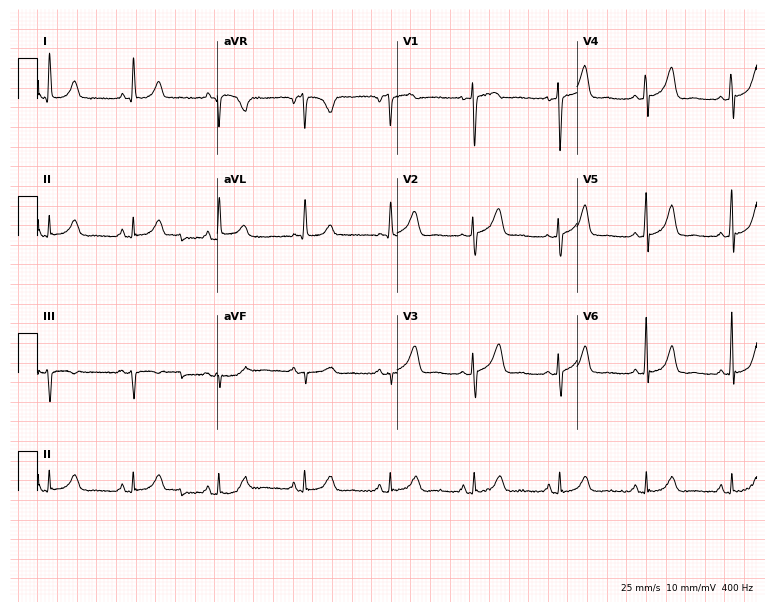
Resting 12-lead electrocardiogram. Patient: a female, 26 years old. None of these six findings is recorded: first-degree AV block, right bundle branch block, left bundle branch block, sinus bradycardia, atrial fibrillation, sinus tachycardia. Findings outside these six are not listed.